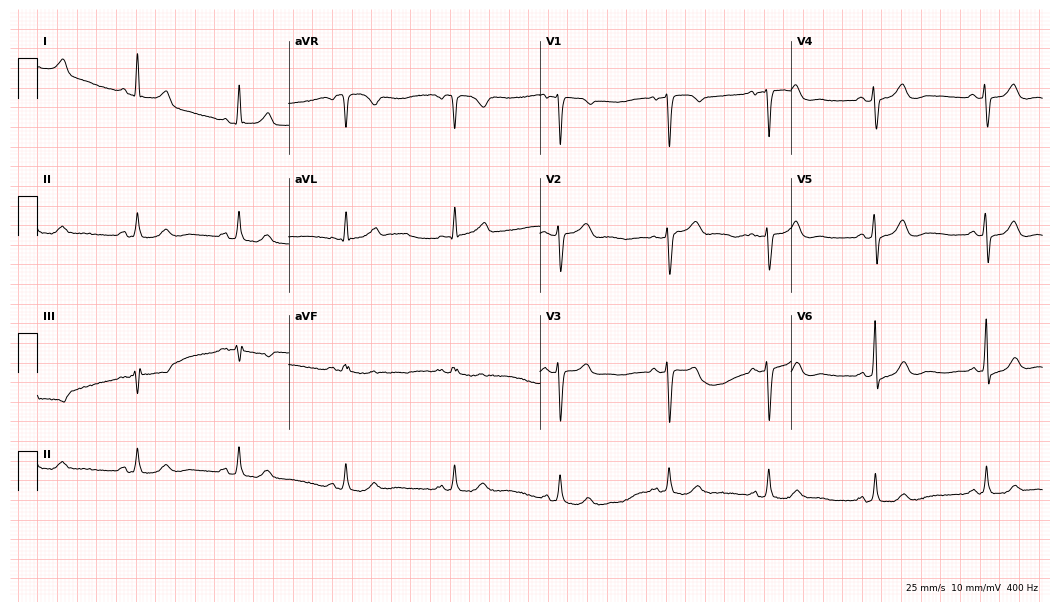
12-lead ECG from a female, 70 years old (10.2-second recording at 400 Hz). Recorded interpretation: within normal limits.